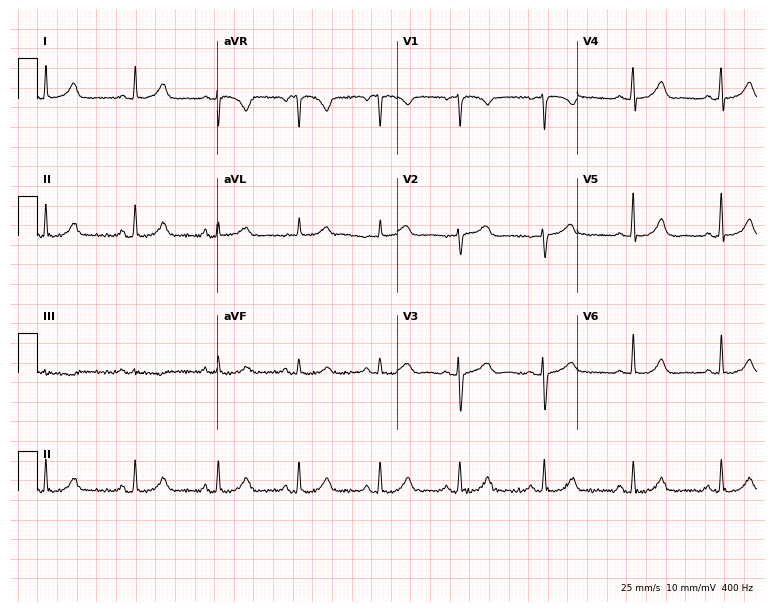
12-lead ECG from a 49-year-old female patient (7.3-second recording at 400 Hz). No first-degree AV block, right bundle branch block, left bundle branch block, sinus bradycardia, atrial fibrillation or sinus tachycardia recorded for this tracing. Other findings, if any, are not listed.